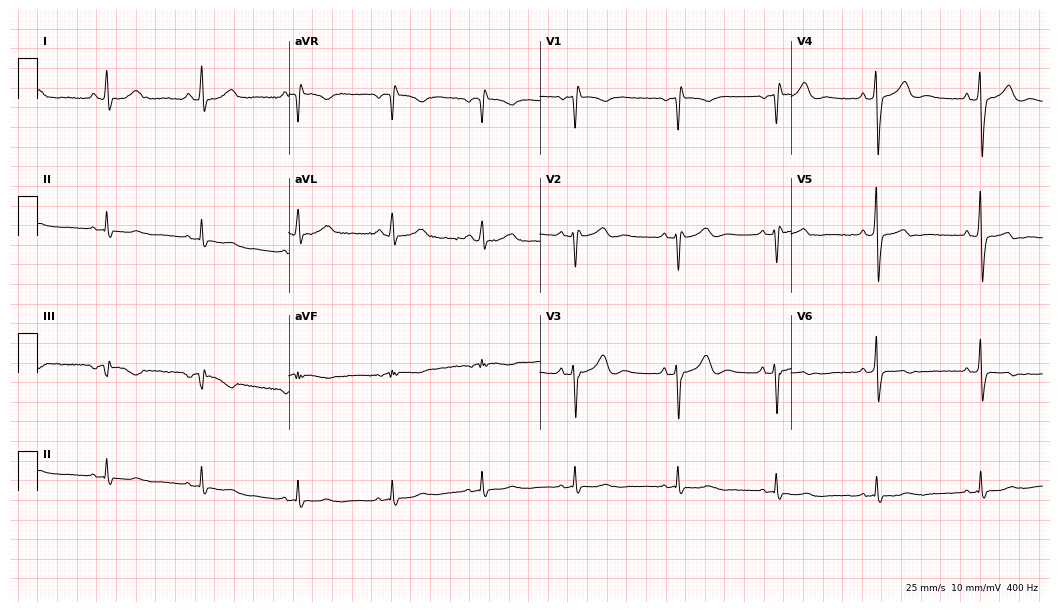
Standard 12-lead ECG recorded from a man, 48 years old. None of these six findings is recorded: first-degree AV block, right bundle branch block, left bundle branch block, sinus bradycardia, atrial fibrillation, sinus tachycardia.